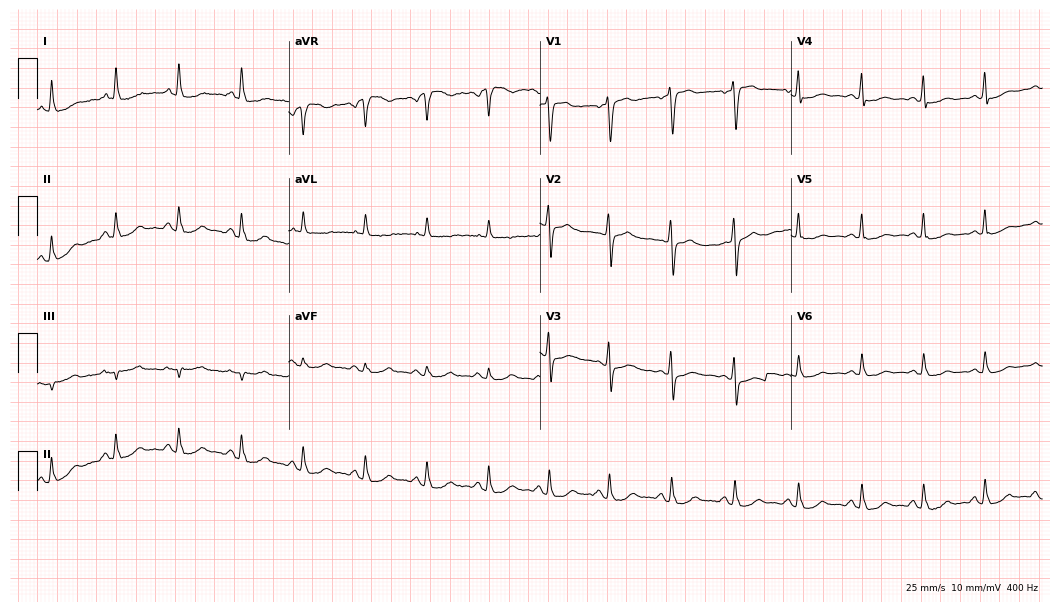
Standard 12-lead ECG recorded from a female patient, 60 years old. None of these six findings is recorded: first-degree AV block, right bundle branch block, left bundle branch block, sinus bradycardia, atrial fibrillation, sinus tachycardia.